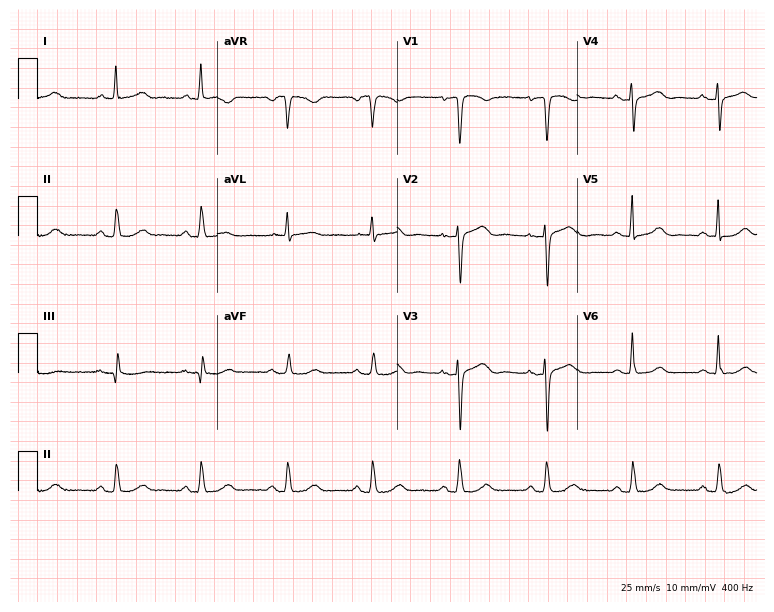
12-lead ECG from a 63-year-old woman. Labelled as a normal ECG.